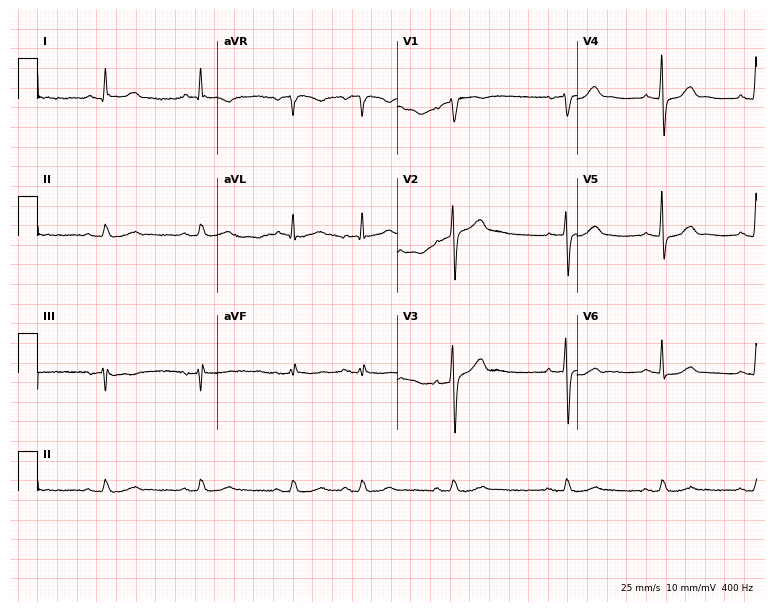
12-lead ECG from a 78-year-old male. No first-degree AV block, right bundle branch block, left bundle branch block, sinus bradycardia, atrial fibrillation or sinus tachycardia recorded for this tracing.